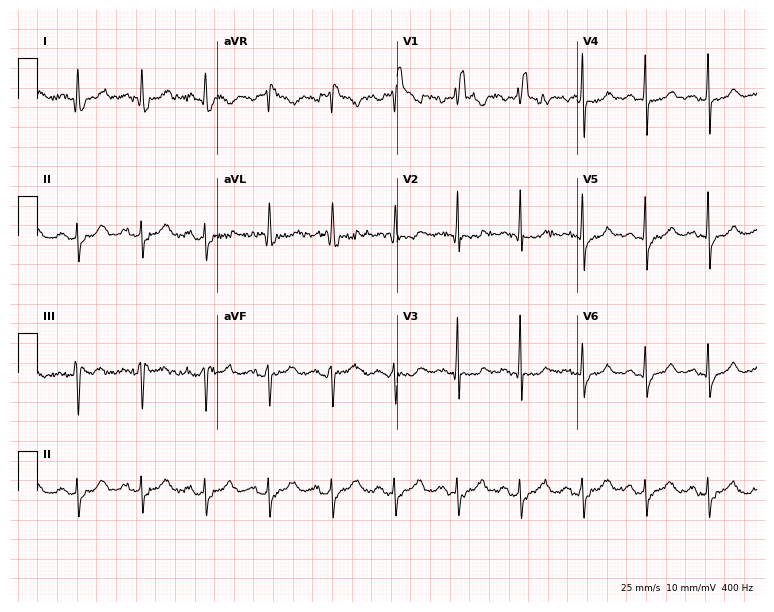
12-lead ECG from an 80-year-old female patient (7.3-second recording at 400 Hz). No first-degree AV block, right bundle branch block (RBBB), left bundle branch block (LBBB), sinus bradycardia, atrial fibrillation (AF) or sinus tachycardia recorded for this tracing. Only these six findings were labelled.